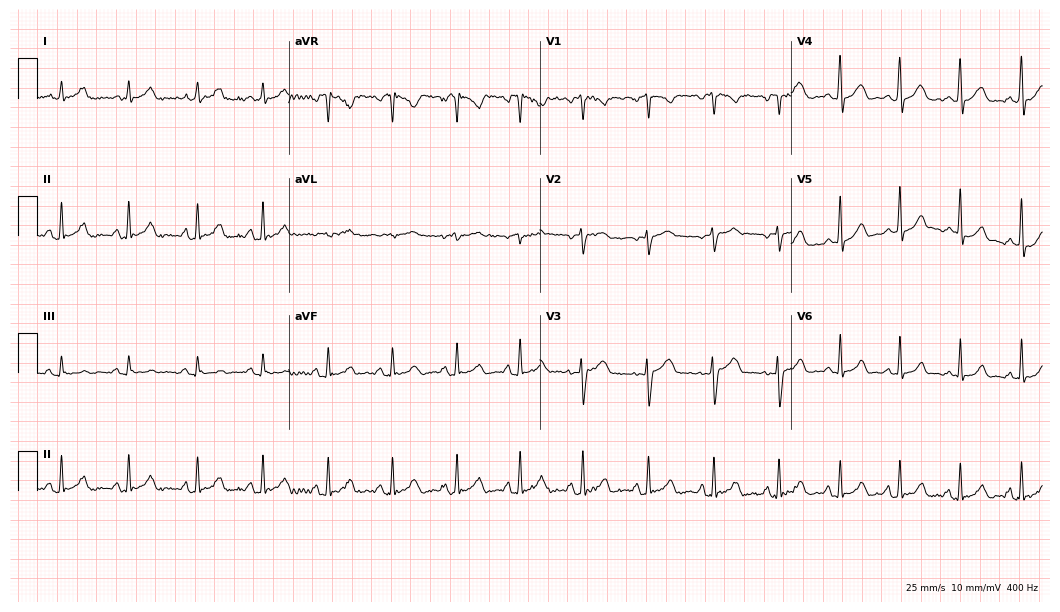
Resting 12-lead electrocardiogram (10.2-second recording at 400 Hz). Patient: a female, 22 years old. Read as a normal ECG.